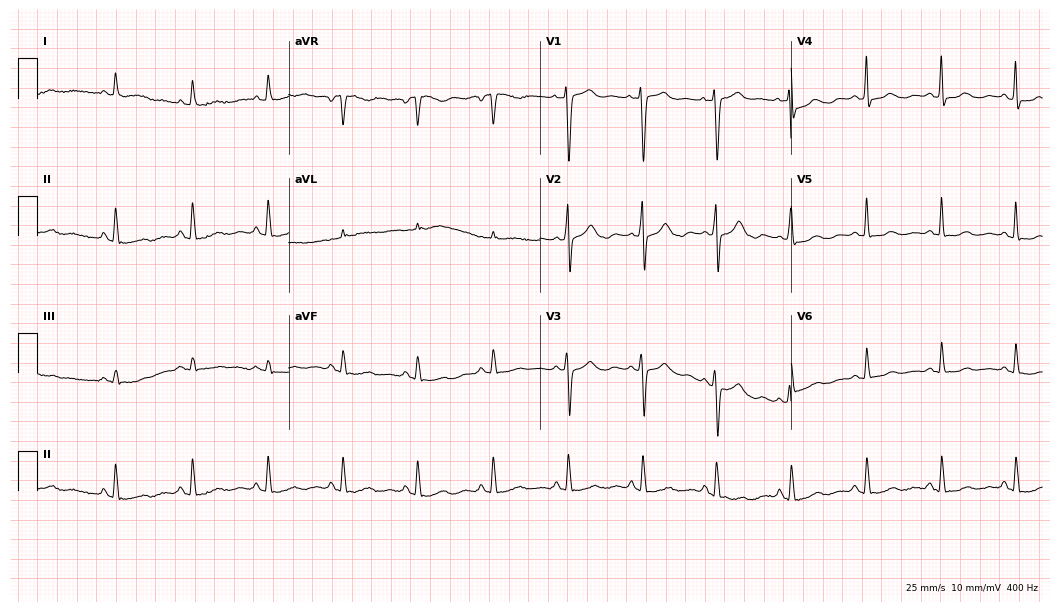
Standard 12-lead ECG recorded from a woman, 84 years old. Read as a normal ECG.